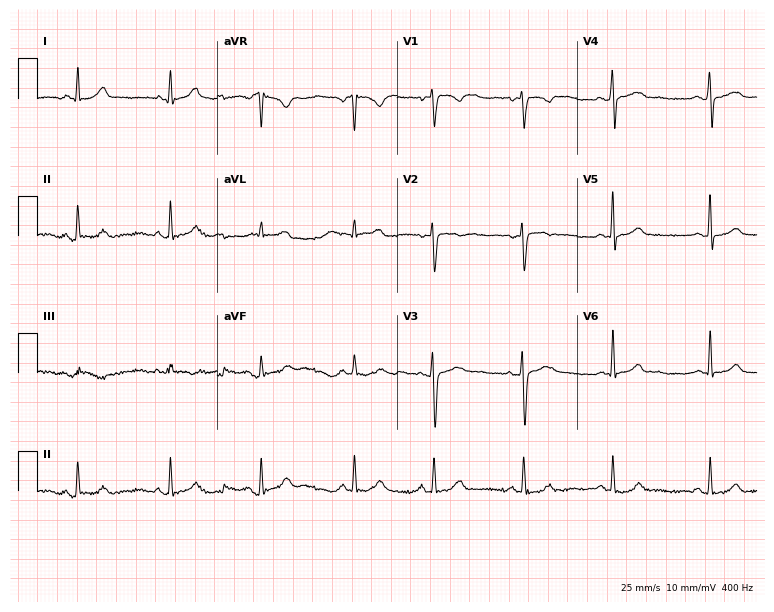
12-lead ECG from a female, 34 years old. No first-degree AV block, right bundle branch block, left bundle branch block, sinus bradycardia, atrial fibrillation or sinus tachycardia recorded for this tracing. Findings outside these six are not listed.